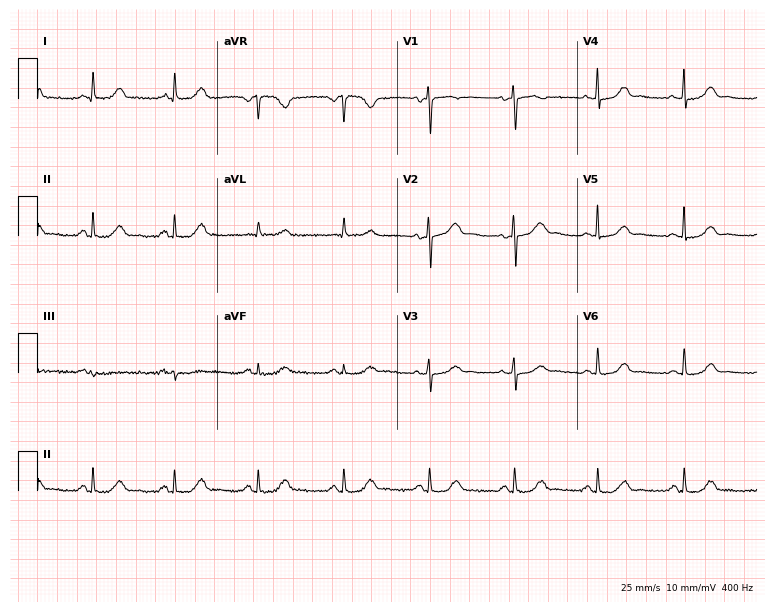
12-lead ECG from a woman, 52 years old. Labelled as a normal ECG.